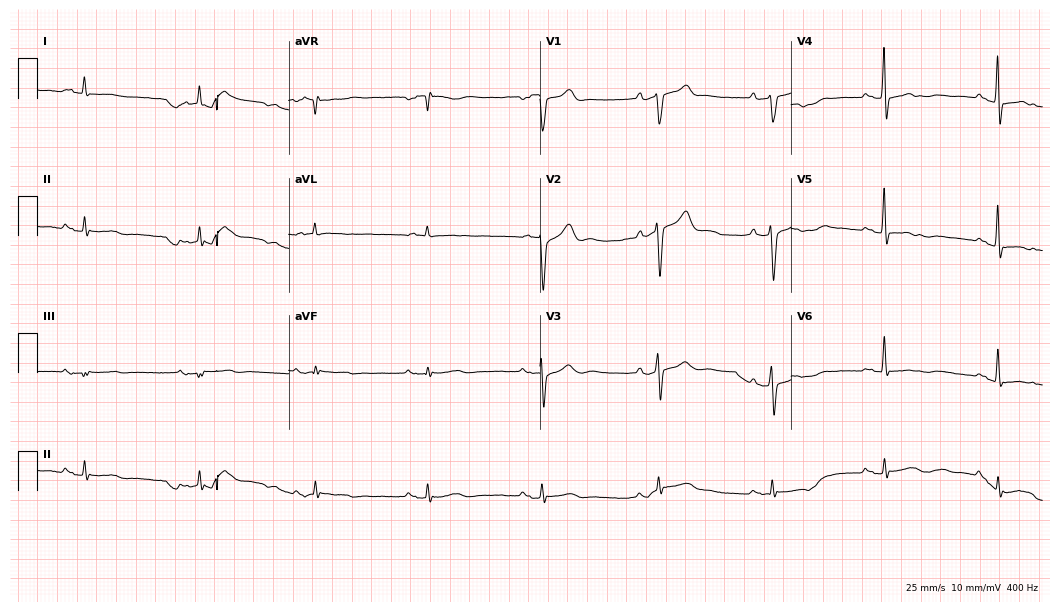
Standard 12-lead ECG recorded from a 57-year-old man (10.2-second recording at 400 Hz). Read as a normal ECG.